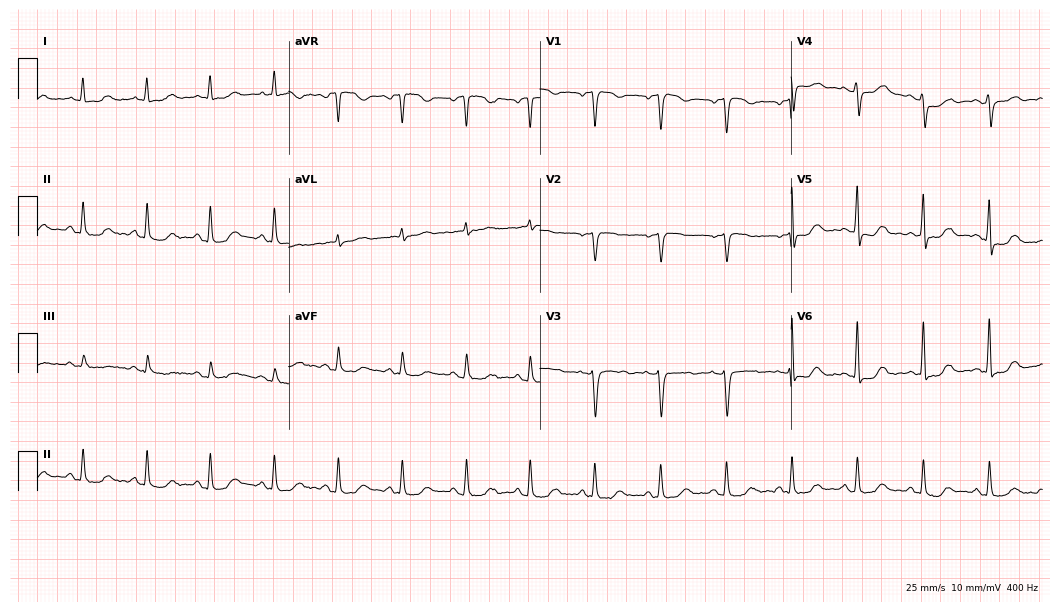
Standard 12-lead ECG recorded from a 78-year-old female patient. None of these six findings is recorded: first-degree AV block, right bundle branch block (RBBB), left bundle branch block (LBBB), sinus bradycardia, atrial fibrillation (AF), sinus tachycardia.